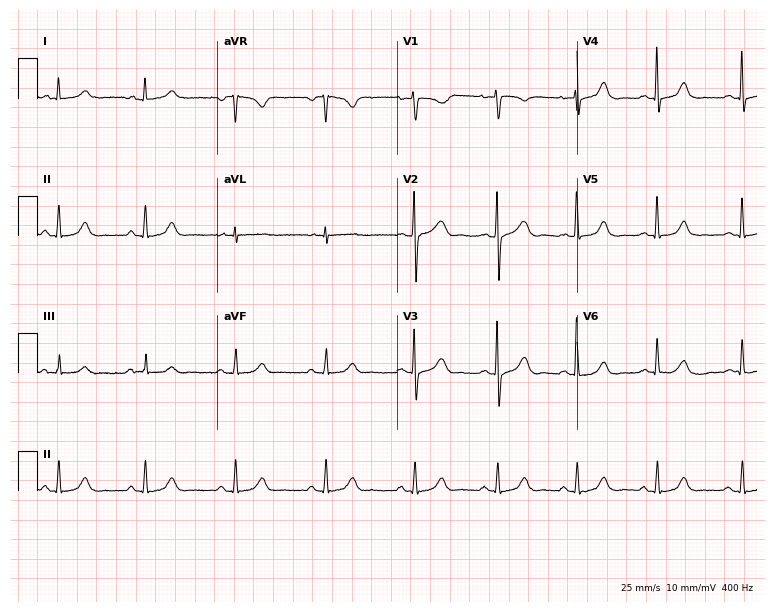
Resting 12-lead electrocardiogram (7.3-second recording at 400 Hz). Patient: a female, 39 years old. Read as a normal ECG.